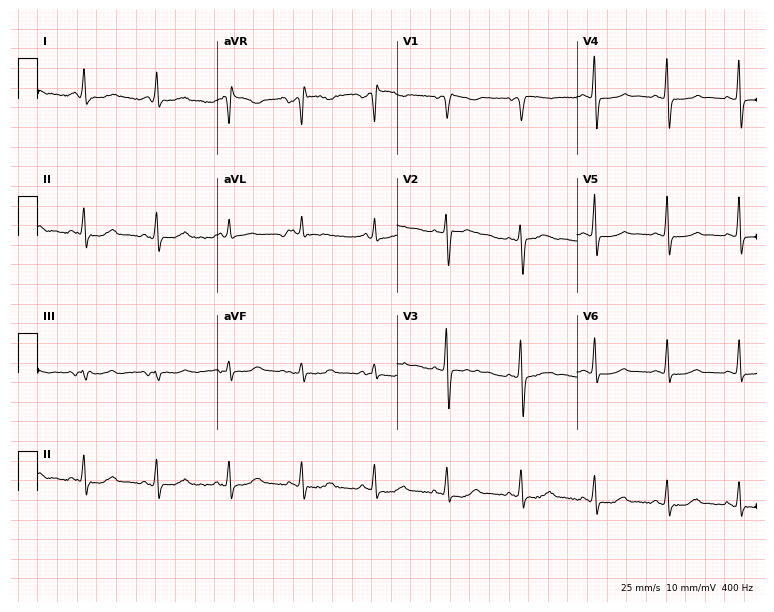
12-lead ECG (7.3-second recording at 400 Hz) from a female, 58 years old. Screened for six findings — first-degree AV block, right bundle branch block, left bundle branch block, sinus bradycardia, atrial fibrillation, sinus tachycardia — none is recorded.